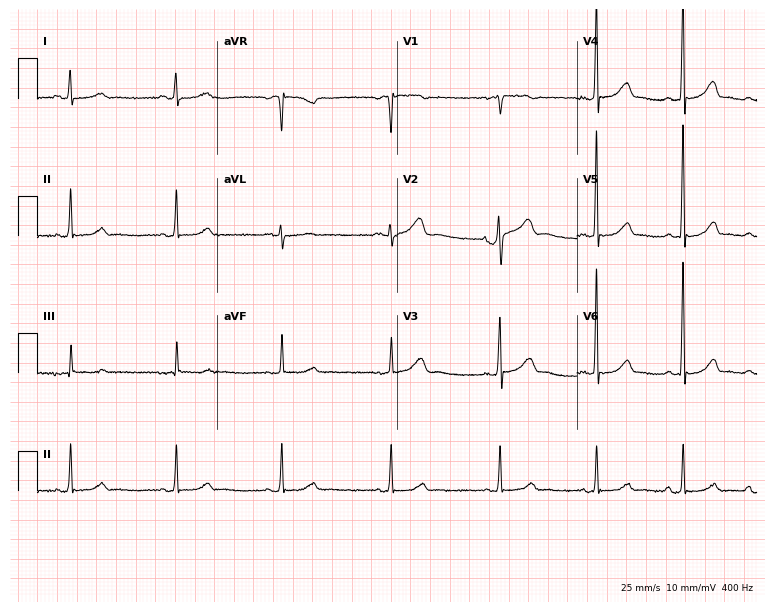
12-lead ECG from a female, 35 years old. Screened for six findings — first-degree AV block, right bundle branch block, left bundle branch block, sinus bradycardia, atrial fibrillation, sinus tachycardia — none is recorded. Only these six findings were labelled.